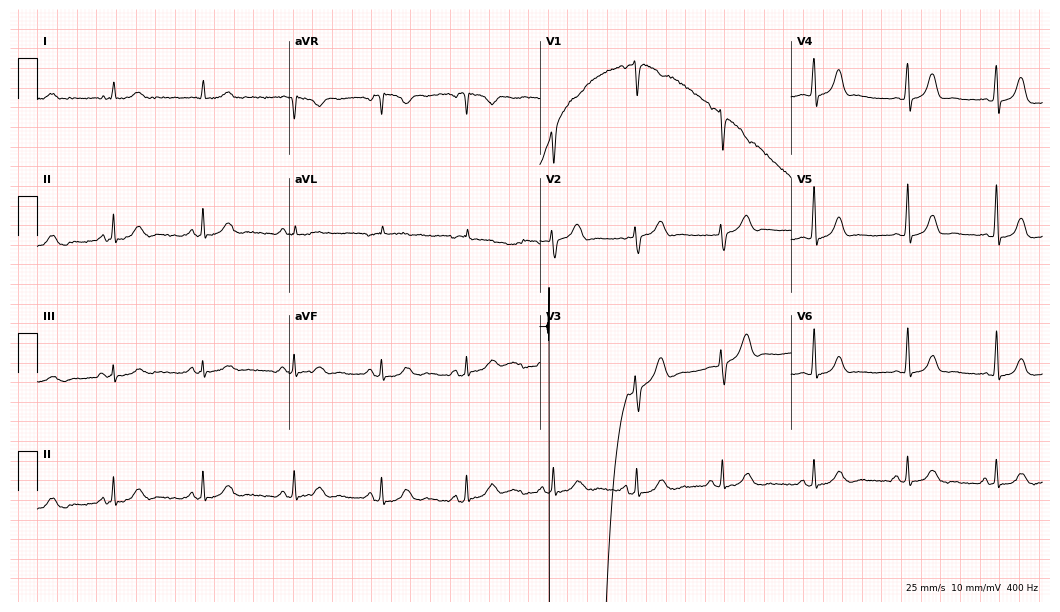
Standard 12-lead ECG recorded from a woman, 58 years old. Read as a normal ECG.